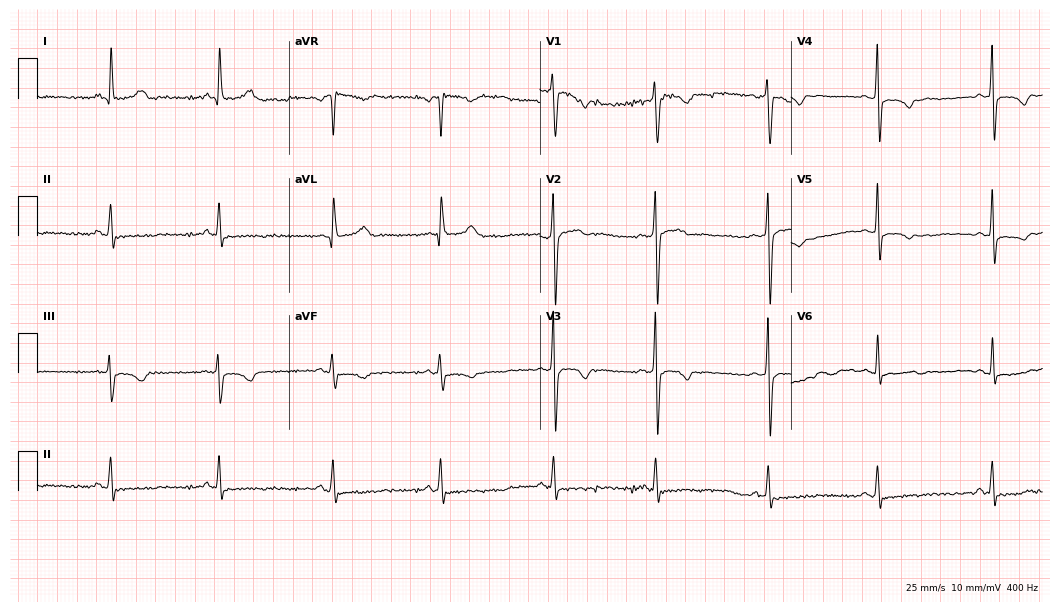
ECG (10.2-second recording at 400 Hz) — a 33-year-old male patient. Screened for six findings — first-degree AV block, right bundle branch block, left bundle branch block, sinus bradycardia, atrial fibrillation, sinus tachycardia — none is recorded.